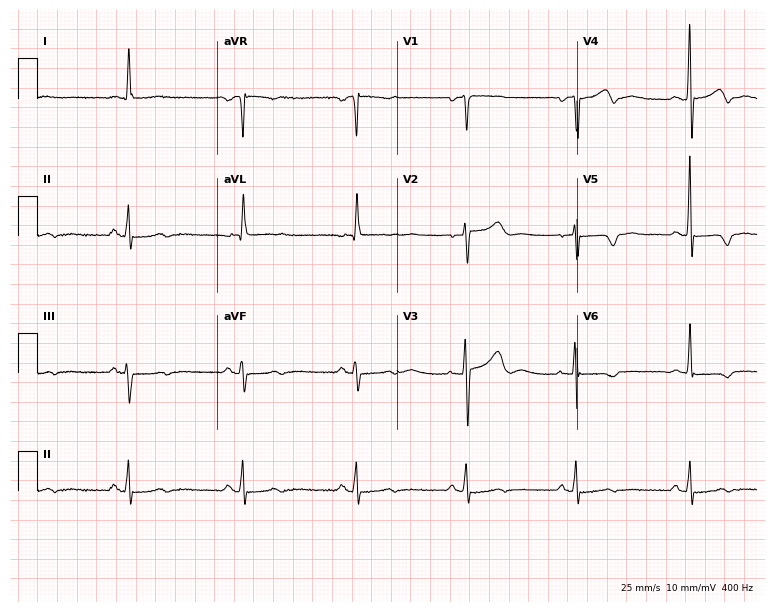
12-lead ECG (7.3-second recording at 400 Hz) from a female patient, 82 years old. Screened for six findings — first-degree AV block, right bundle branch block (RBBB), left bundle branch block (LBBB), sinus bradycardia, atrial fibrillation (AF), sinus tachycardia — none is recorded.